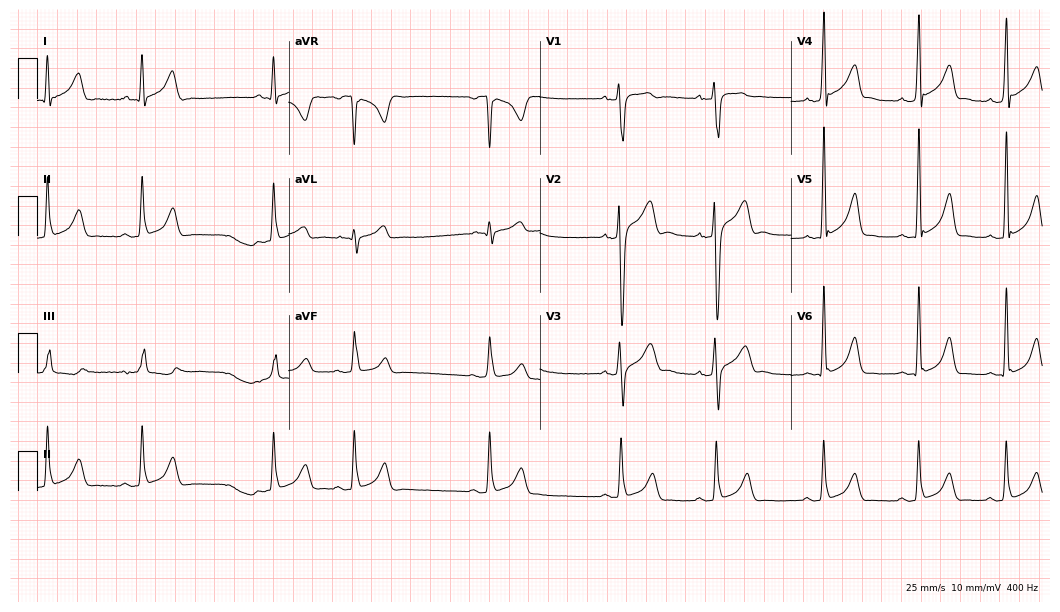
12-lead ECG from a 20-year-old man. Screened for six findings — first-degree AV block, right bundle branch block (RBBB), left bundle branch block (LBBB), sinus bradycardia, atrial fibrillation (AF), sinus tachycardia — none is recorded.